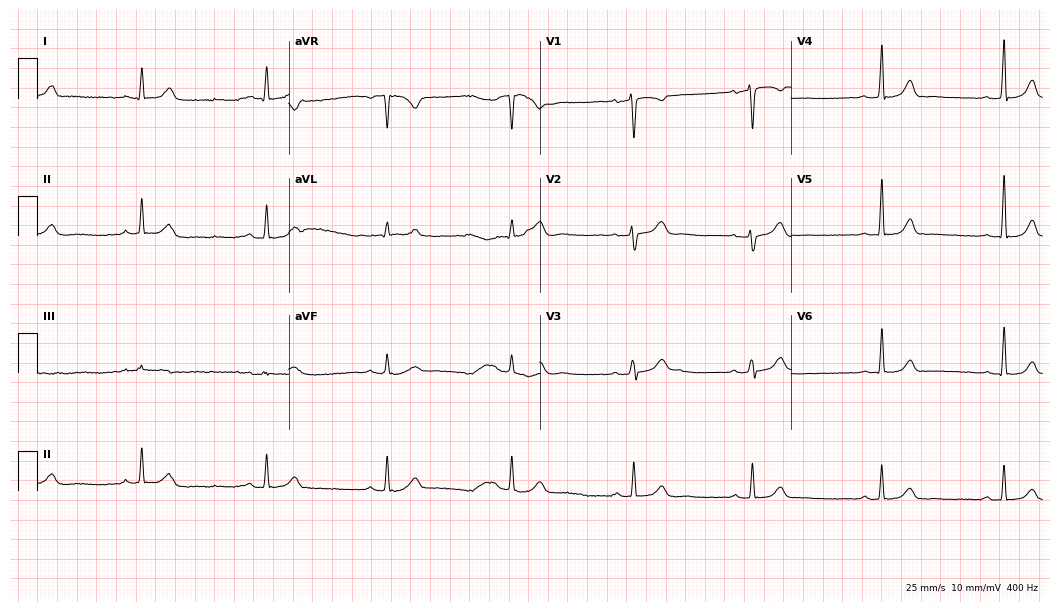
ECG — a 43-year-old female. Findings include sinus bradycardia (a sinus rate of 50 beats per minute or less).